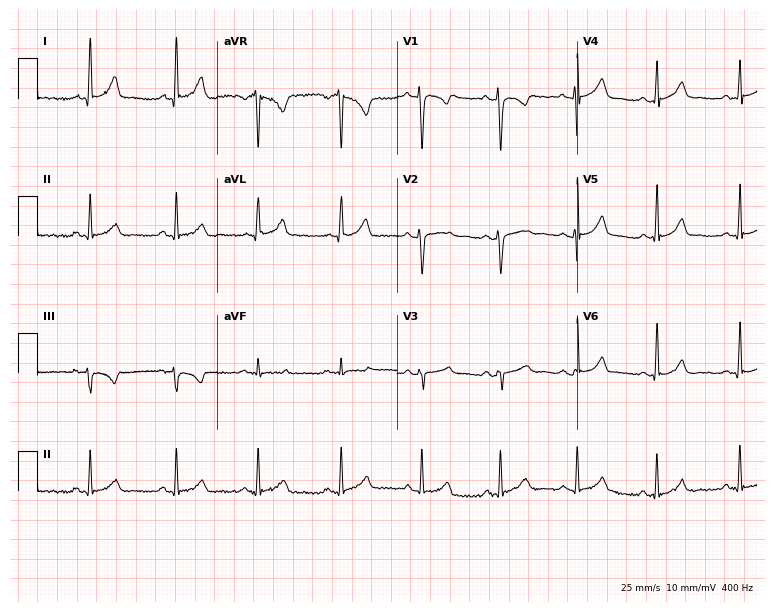
ECG — a 22-year-old female patient. Labelled as a normal ECG.